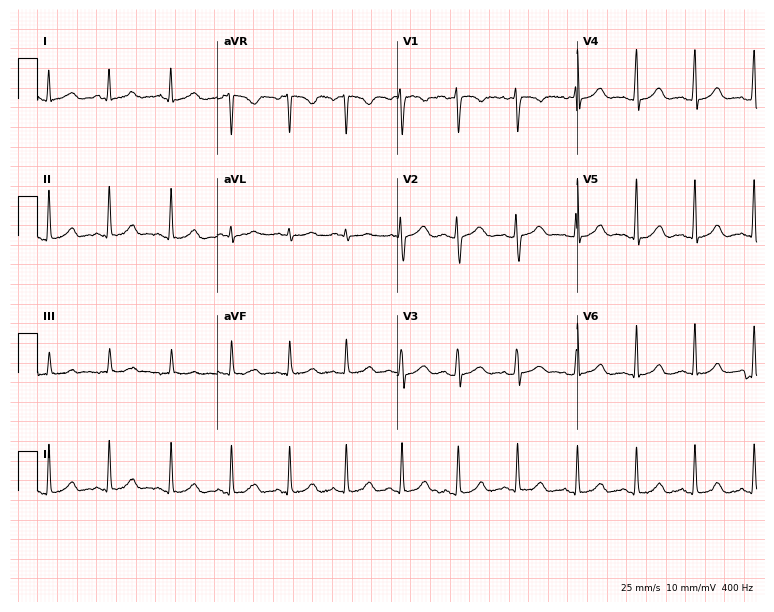
ECG — a 26-year-old woman. Findings include sinus tachycardia (a sinus rate of 100 beats per minute or more).